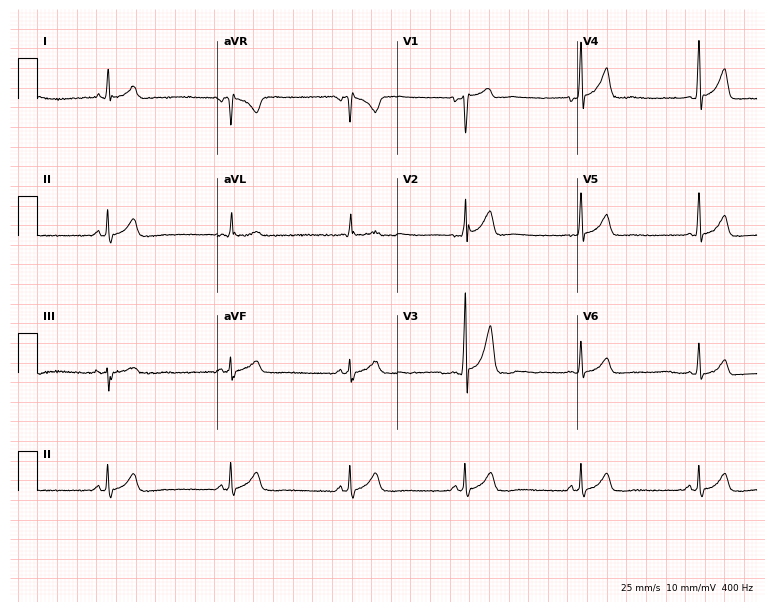
12-lead ECG from a 57-year-old male. Findings include sinus bradycardia (a sinus rate of 50 beats per minute or less).